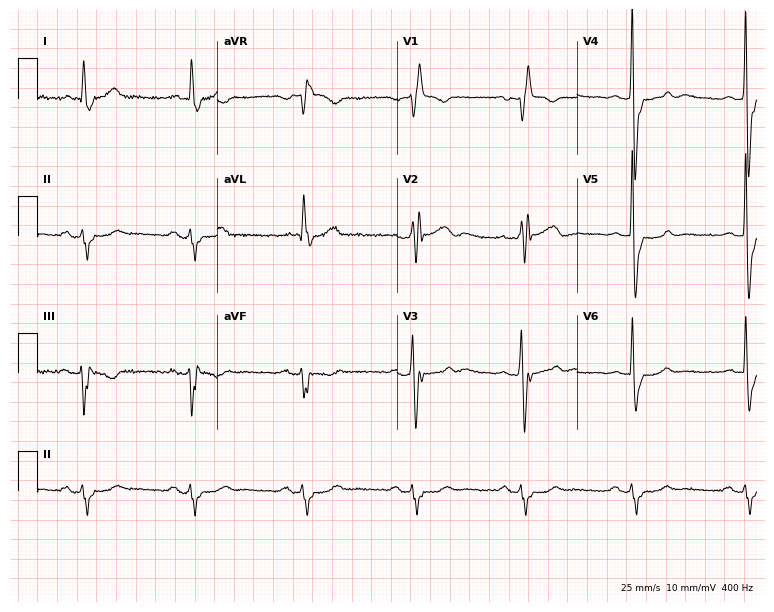
Resting 12-lead electrocardiogram (7.3-second recording at 400 Hz). Patient: an 80-year-old male. The tracing shows right bundle branch block.